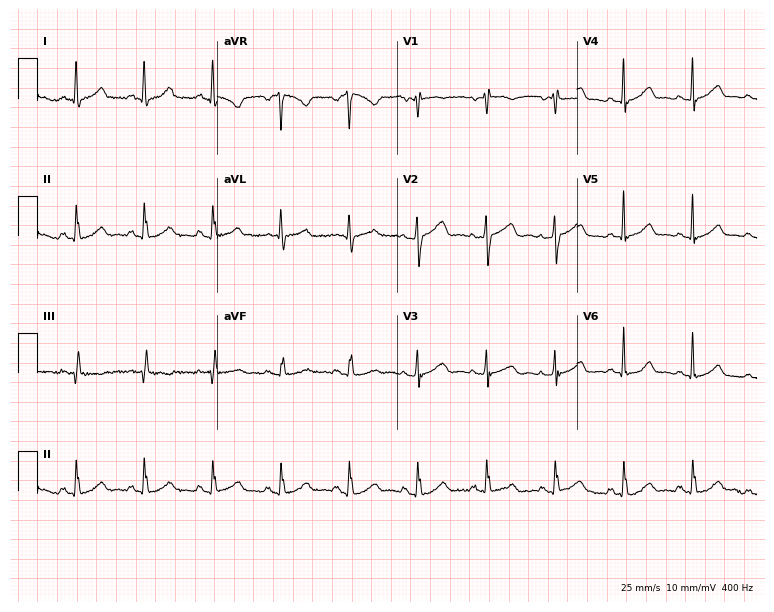
12-lead ECG from a 50-year-old woman (7.3-second recording at 400 Hz). No first-degree AV block, right bundle branch block, left bundle branch block, sinus bradycardia, atrial fibrillation or sinus tachycardia recorded for this tracing. Findings outside these six are not listed.